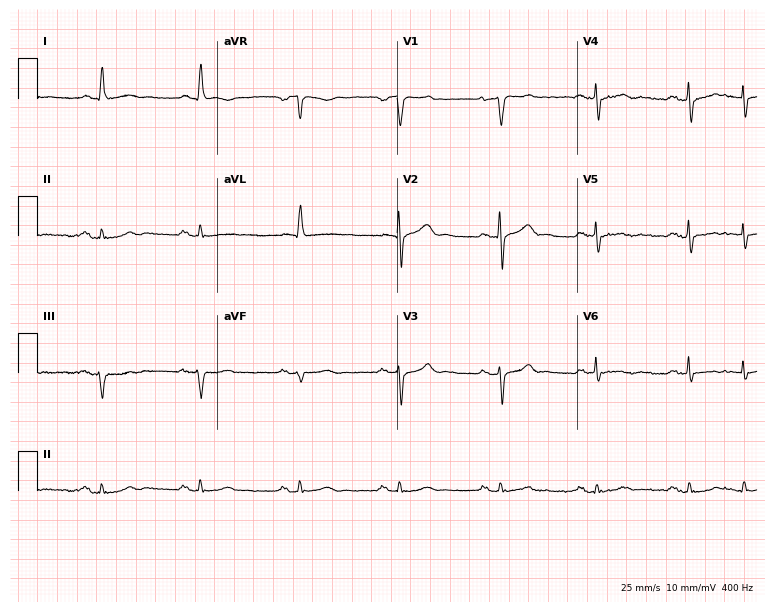
ECG — a 79-year-old man. Screened for six findings — first-degree AV block, right bundle branch block (RBBB), left bundle branch block (LBBB), sinus bradycardia, atrial fibrillation (AF), sinus tachycardia — none is recorded. Findings outside these six are not listed.